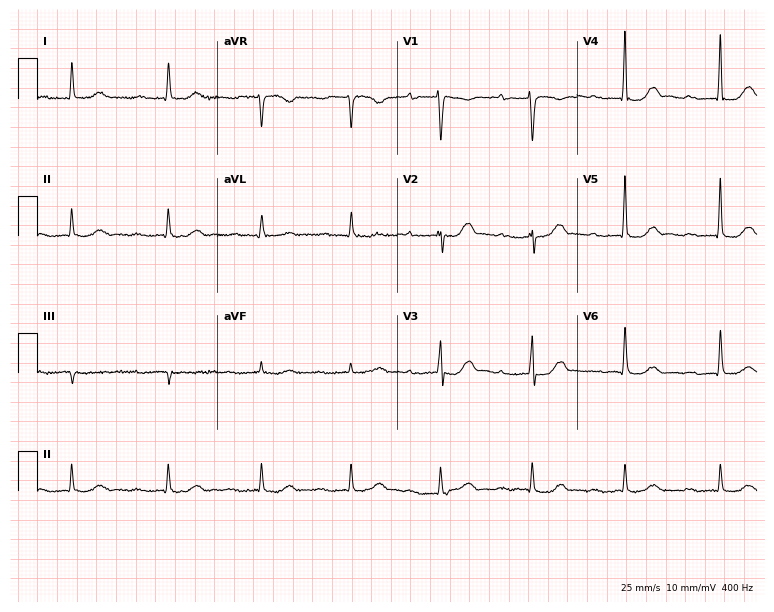
Electrocardiogram, a 78-year-old male patient. Interpretation includes first-degree AV block.